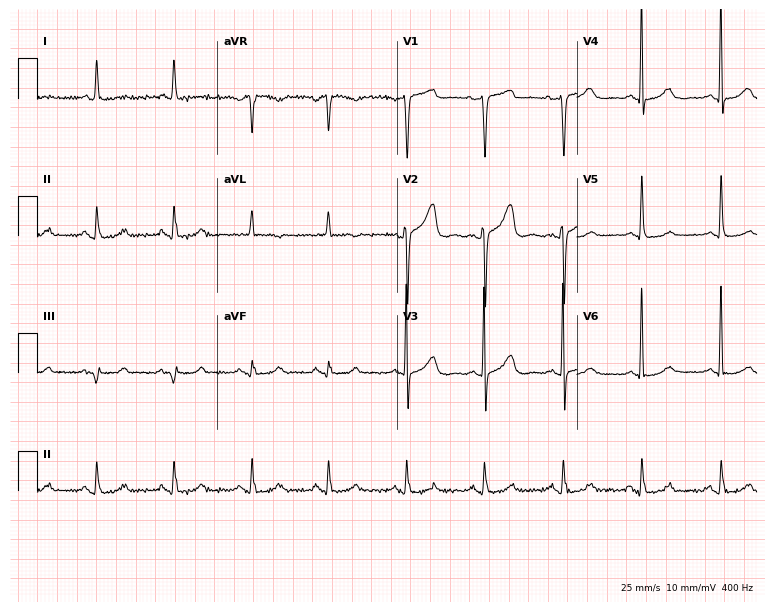
Resting 12-lead electrocardiogram. Patient: a female, 81 years old. None of these six findings is recorded: first-degree AV block, right bundle branch block, left bundle branch block, sinus bradycardia, atrial fibrillation, sinus tachycardia.